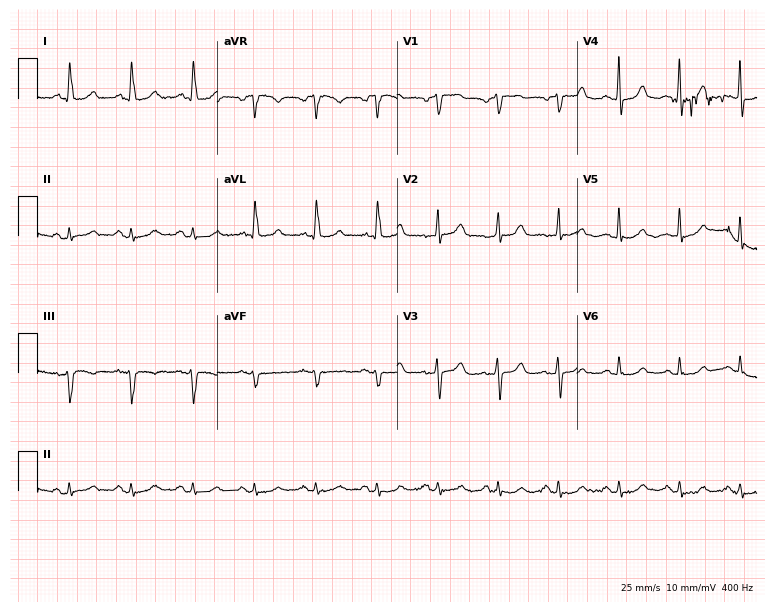
Standard 12-lead ECG recorded from an 84-year-old female (7.3-second recording at 400 Hz). Read as a normal ECG.